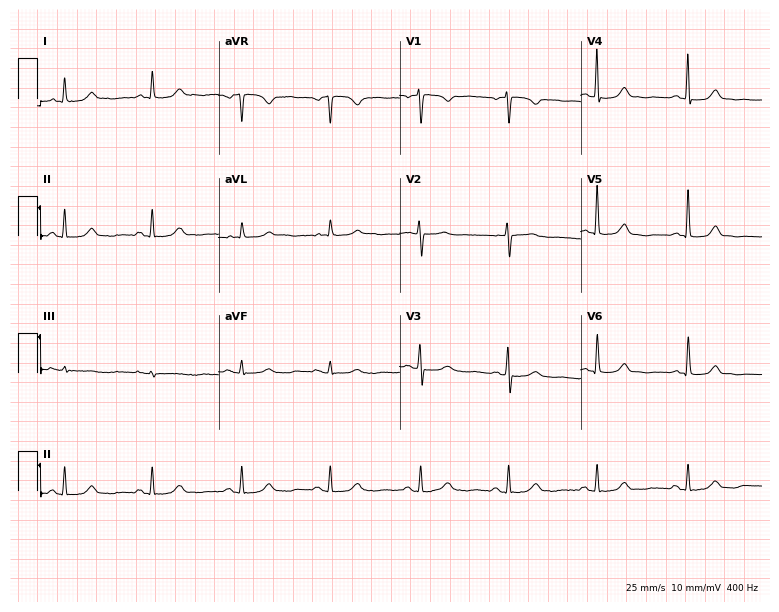
Resting 12-lead electrocardiogram (7.4-second recording at 400 Hz). Patient: a female, 74 years old. Read as a normal ECG.